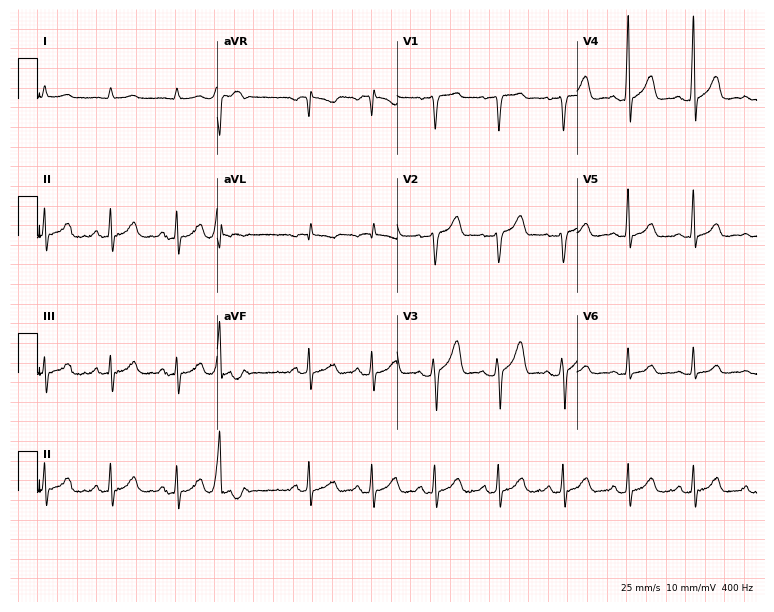
Standard 12-lead ECG recorded from a male patient, 38 years old. Read as a normal ECG.